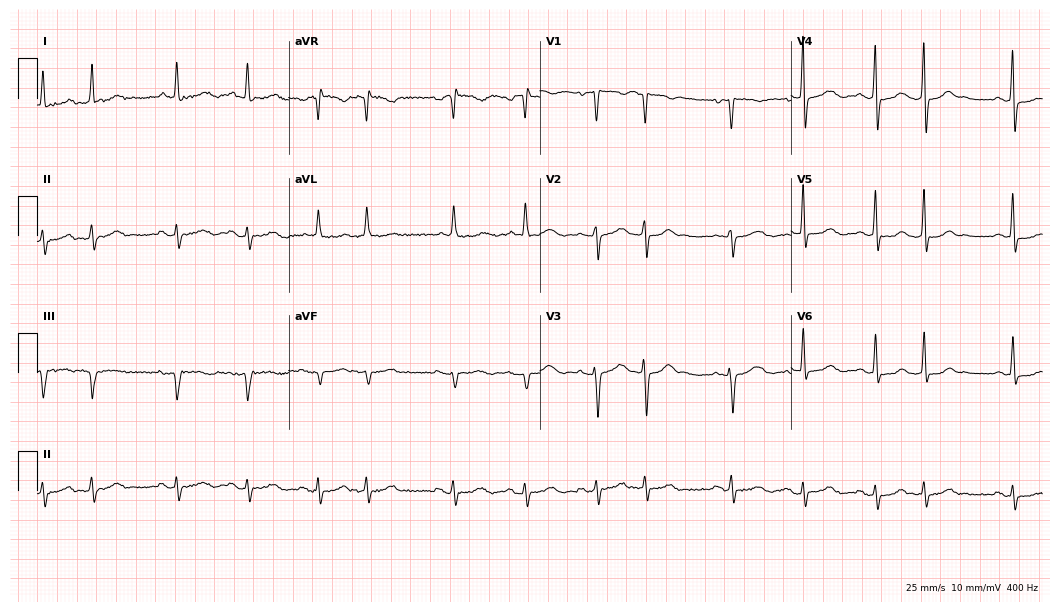
Standard 12-lead ECG recorded from a female, 82 years old. None of these six findings is recorded: first-degree AV block, right bundle branch block, left bundle branch block, sinus bradycardia, atrial fibrillation, sinus tachycardia. Other findings, if any, are not listed.